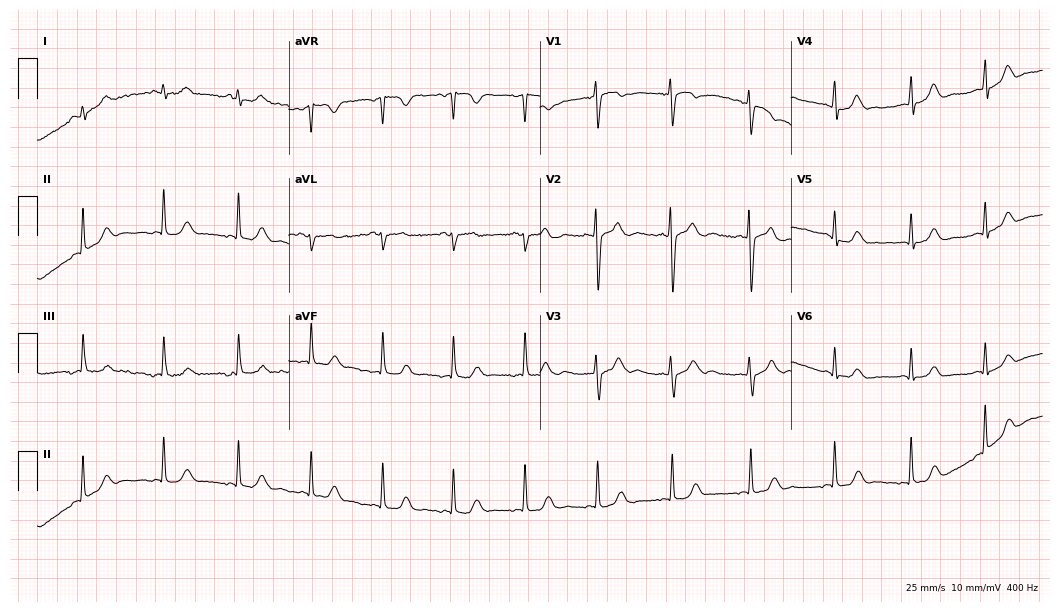
Standard 12-lead ECG recorded from a female, 30 years old (10.2-second recording at 400 Hz). Read as a normal ECG.